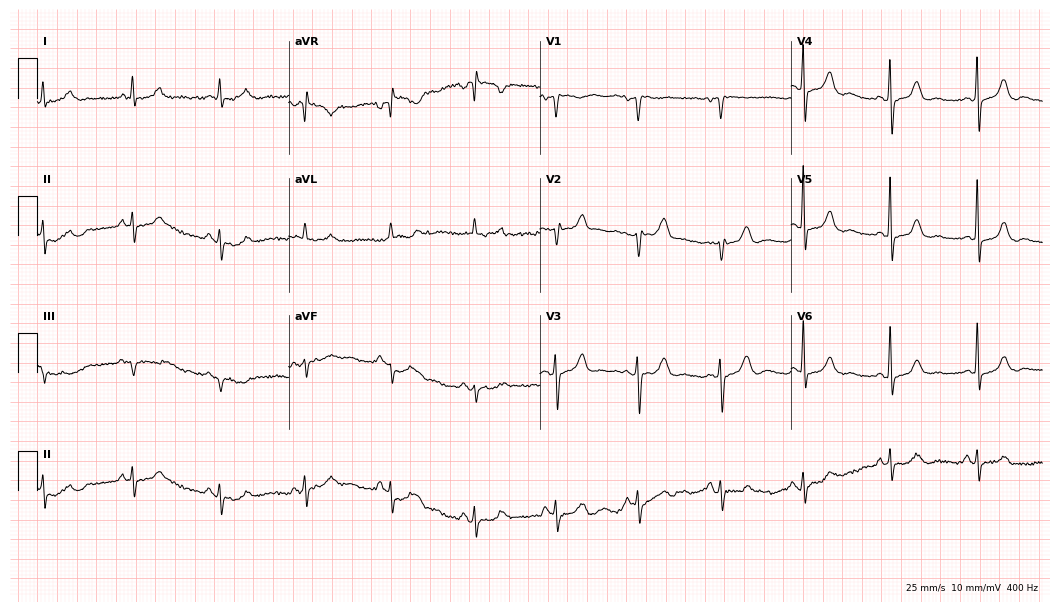
Standard 12-lead ECG recorded from a female patient, 75 years old (10.2-second recording at 400 Hz). None of these six findings is recorded: first-degree AV block, right bundle branch block, left bundle branch block, sinus bradycardia, atrial fibrillation, sinus tachycardia.